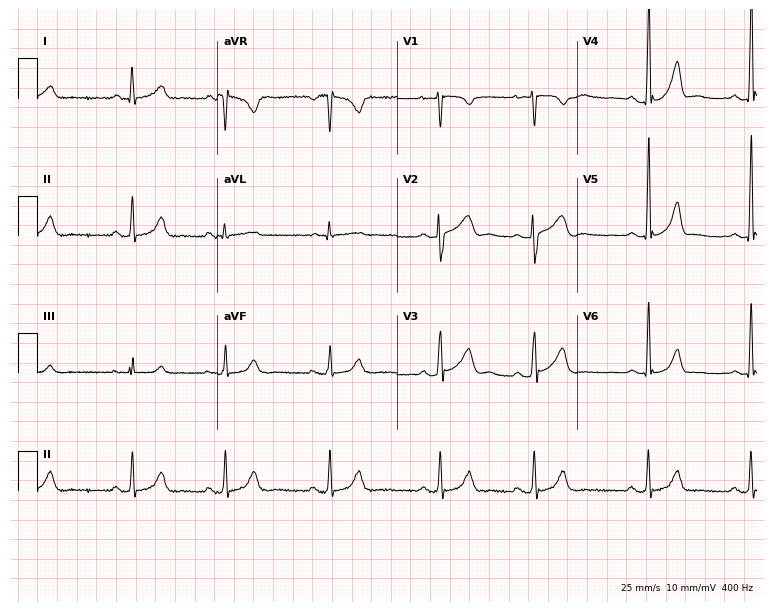
Electrocardiogram (7.3-second recording at 400 Hz), a 27-year-old female. Of the six screened findings (first-degree AV block, right bundle branch block, left bundle branch block, sinus bradycardia, atrial fibrillation, sinus tachycardia), none is recorded.